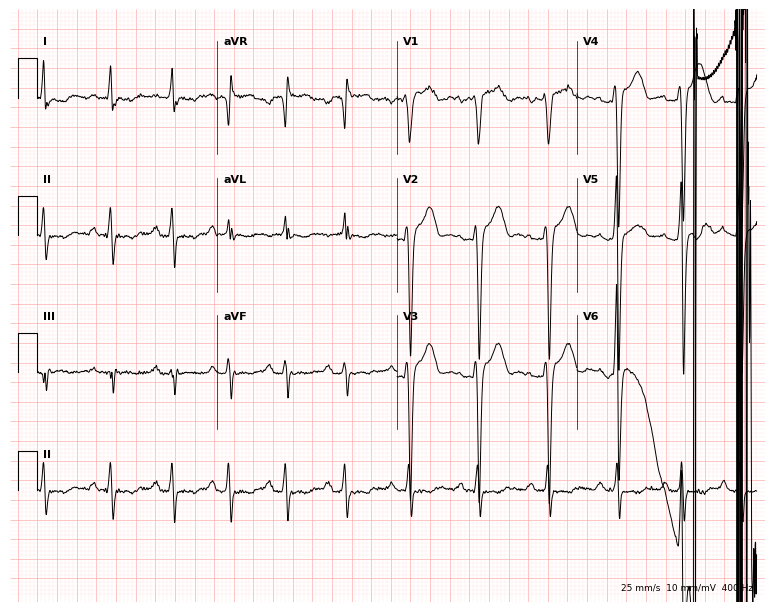
12-lead ECG (7.3-second recording at 400 Hz) from a male patient, 37 years old. Findings include left bundle branch block (LBBB).